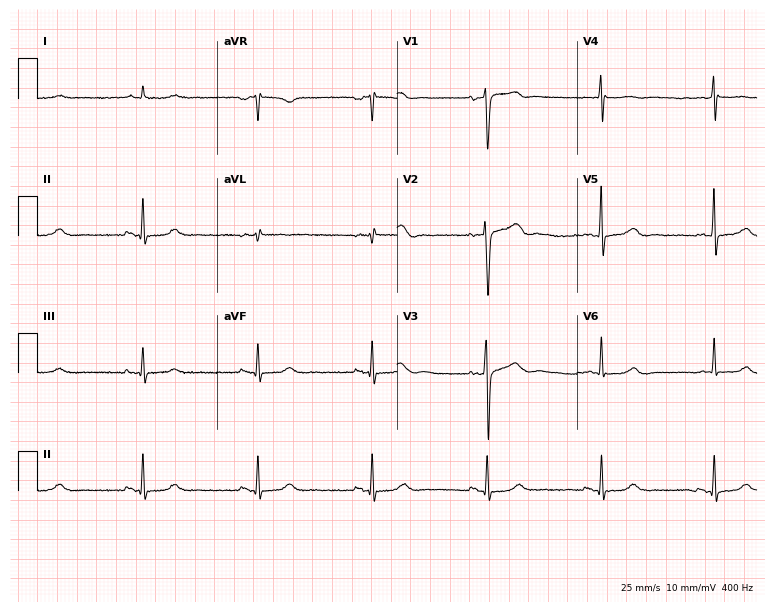
Electrocardiogram (7.3-second recording at 400 Hz), an 84-year-old man. Of the six screened findings (first-degree AV block, right bundle branch block (RBBB), left bundle branch block (LBBB), sinus bradycardia, atrial fibrillation (AF), sinus tachycardia), none is recorded.